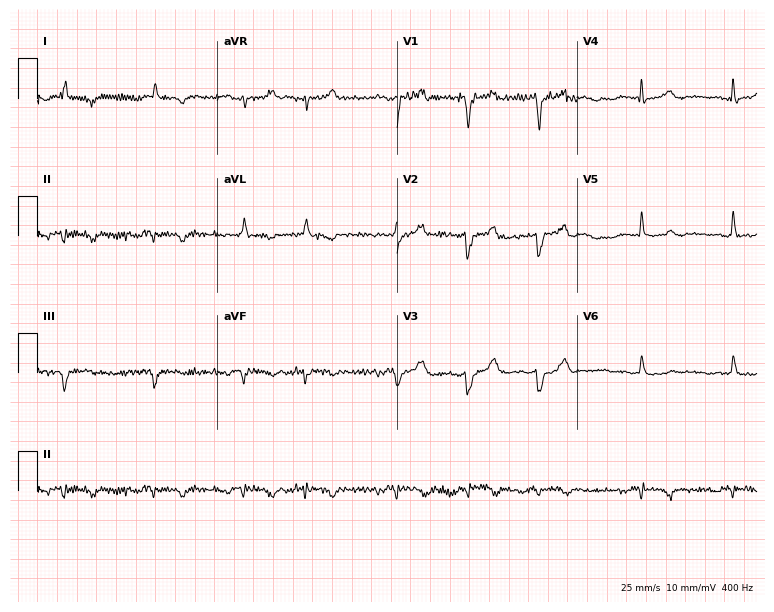
Resting 12-lead electrocardiogram (7.3-second recording at 400 Hz). Patient: a man, 85 years old. The tracing shows atrial fibrillation (AF).